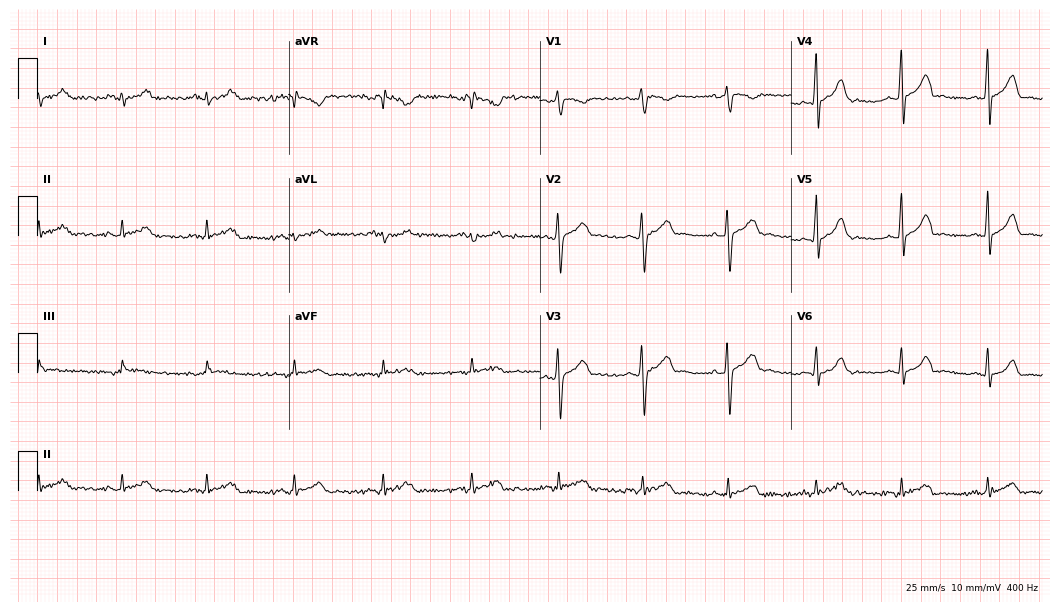
Standard 12-lead ECG recorded from a 26-year-old male (10.2-second recording at 400 Hz). None of these six findings is recorded: first-degree AV block, right bundle branch block, left bundle branch block, sinus bradycardia, atrial fibrillation, sinus tachycardia.